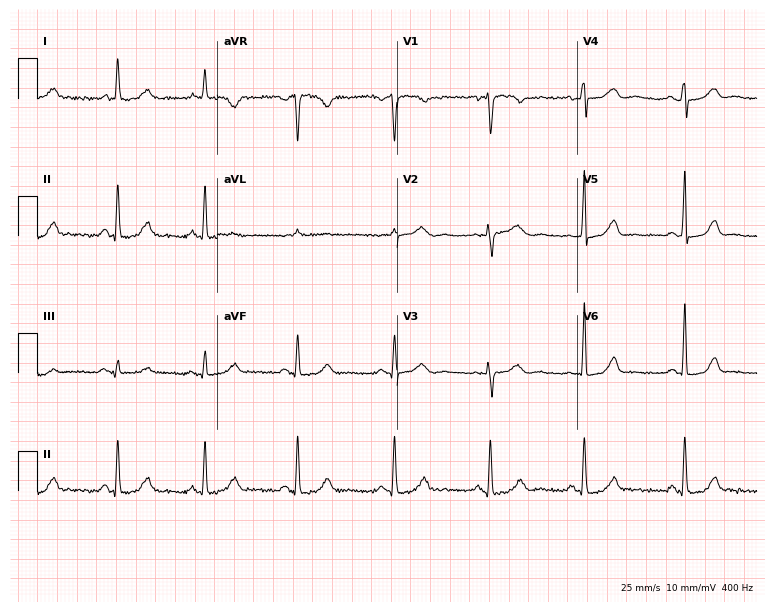
ECG (7.3-second recording at 400 Hz) — a female patient, 58 years old. Labelled as a normal ECG.